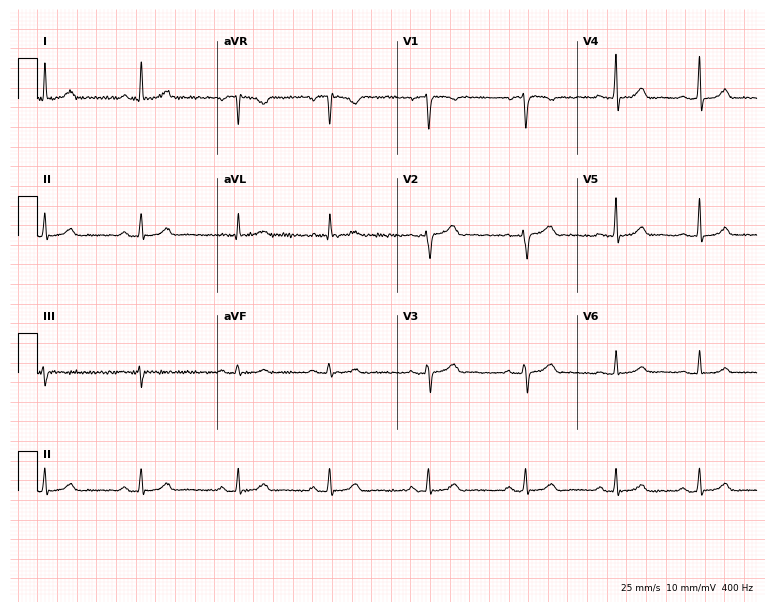
12-lead ECG from a 46-year-old woman. Labelled as a normal ECG.